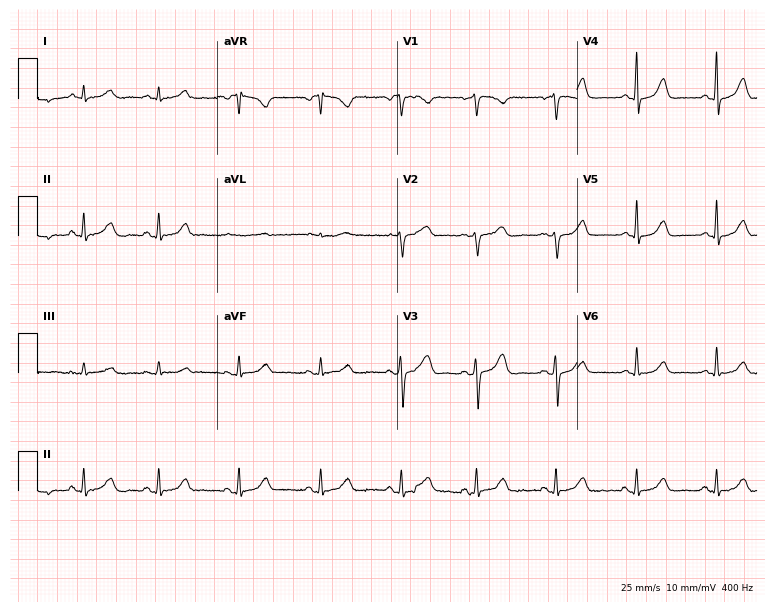
12-lead ECG from a female patient, 47 years old (7.3-second recording at 400 Hz). Recorded interpretation: within normal limits.